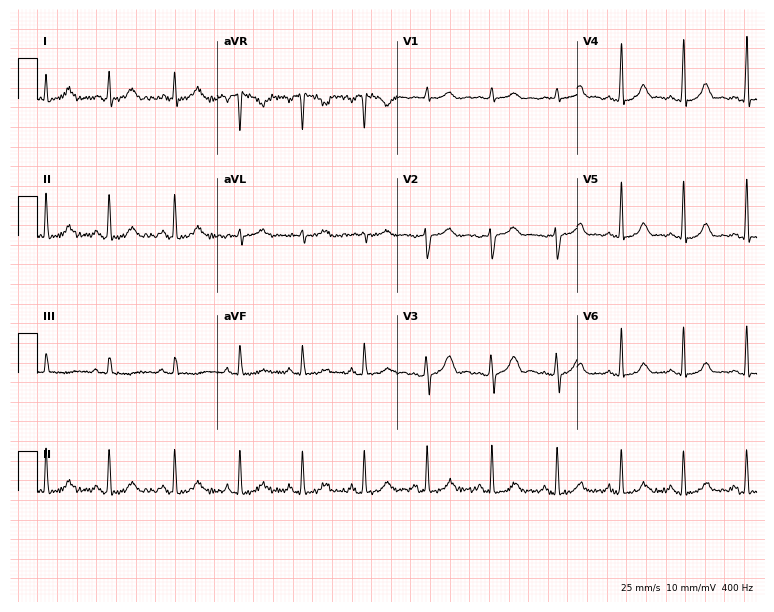
Resting 12-lead electrocardiogram (7.3-second recording at 400 Hz). Patient: a female, 30 years old. Read as a normal ECG.